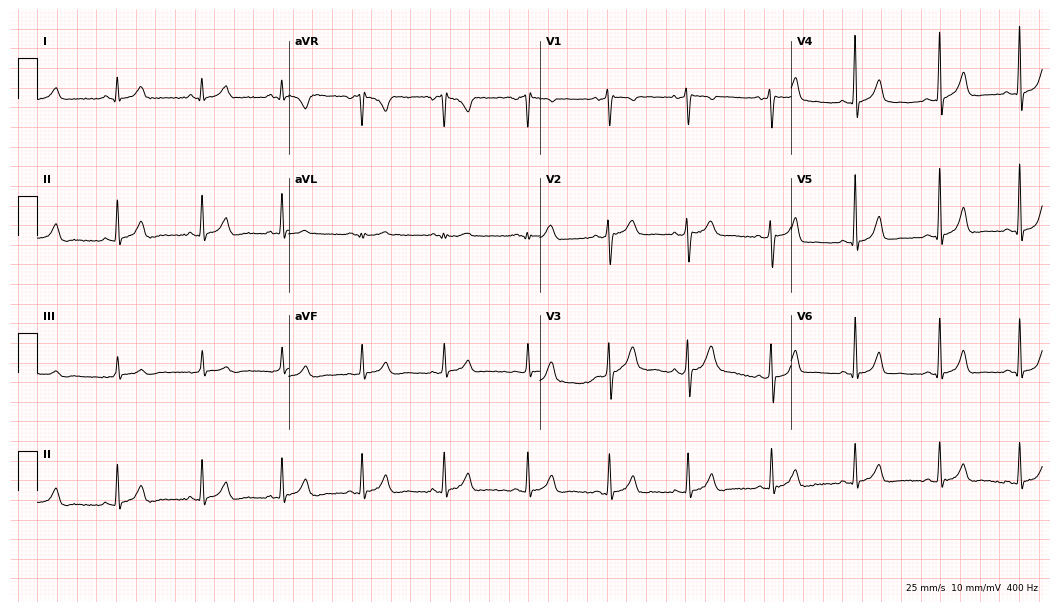
12-lead ECG from a 41-year-old male. Labelled as a normal ECG.